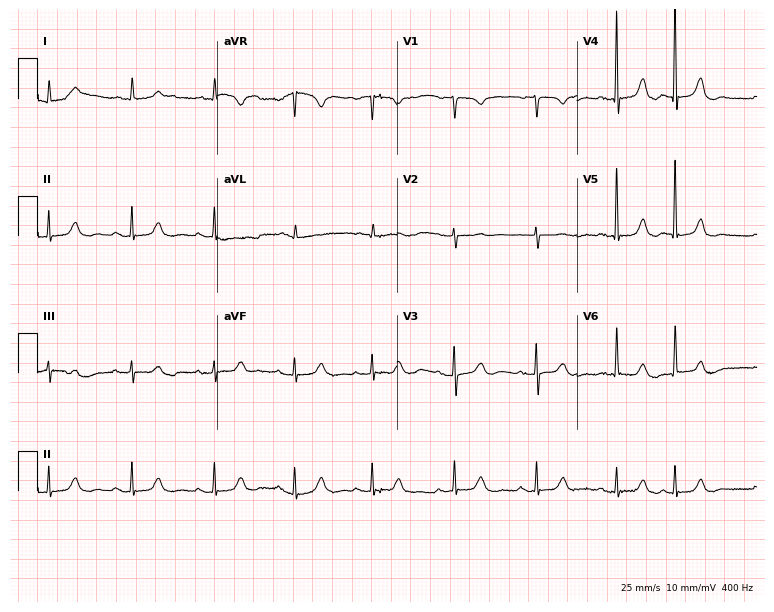
Standard 12-lead ECG recorded from an 85-year-old female patient (7.3-second recording at 400 Hz). Read as a normal ECG.